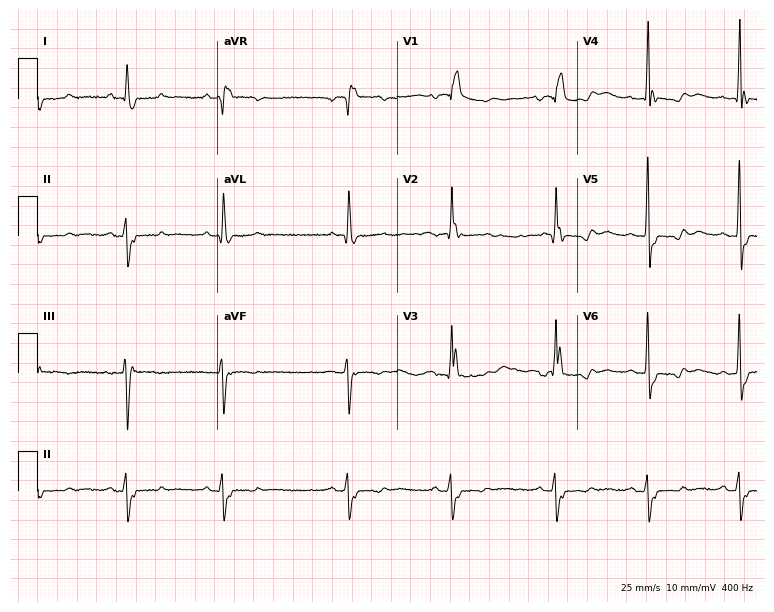
Resting 12-lead electrocardiogram (7.3-second recording at 400 Hz). Patient: a woman, 70 years old. The tracing shows right bundle branch block.